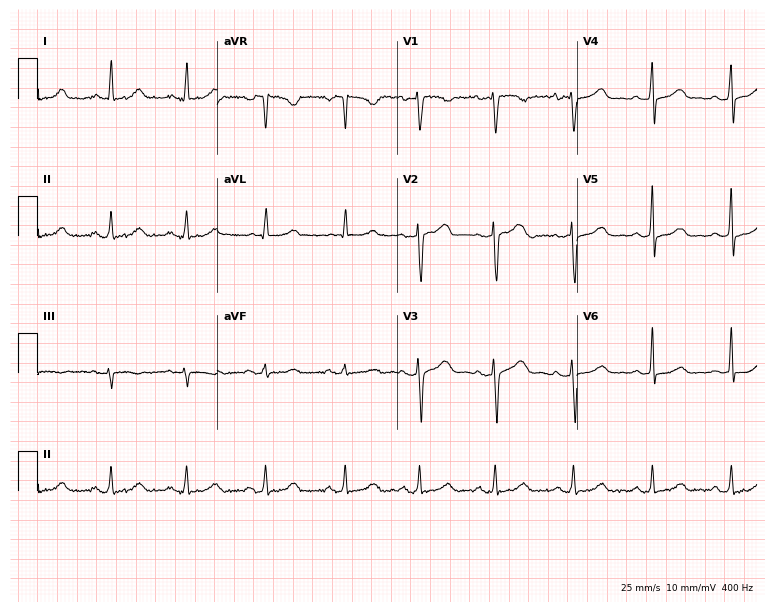
Electrocardiogram (7.3-second recording at 400 Hz), a female, 44 years old. Overall reading on record: normal ECG.